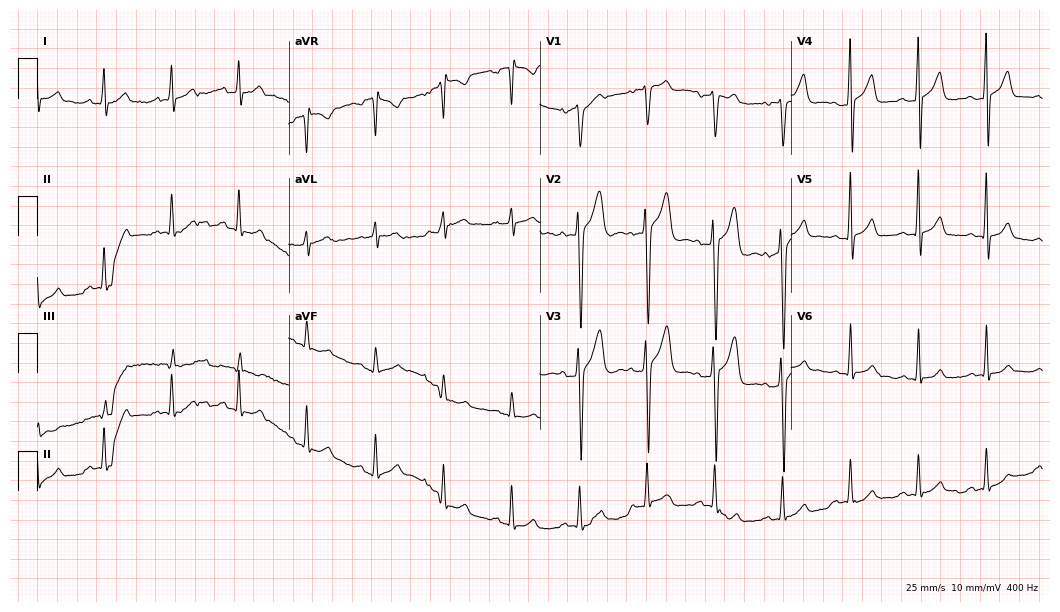
12-lead ECG (10.2-second recording at 400 Hz) from a 44-year-old man. Labelled as a normal ECG.